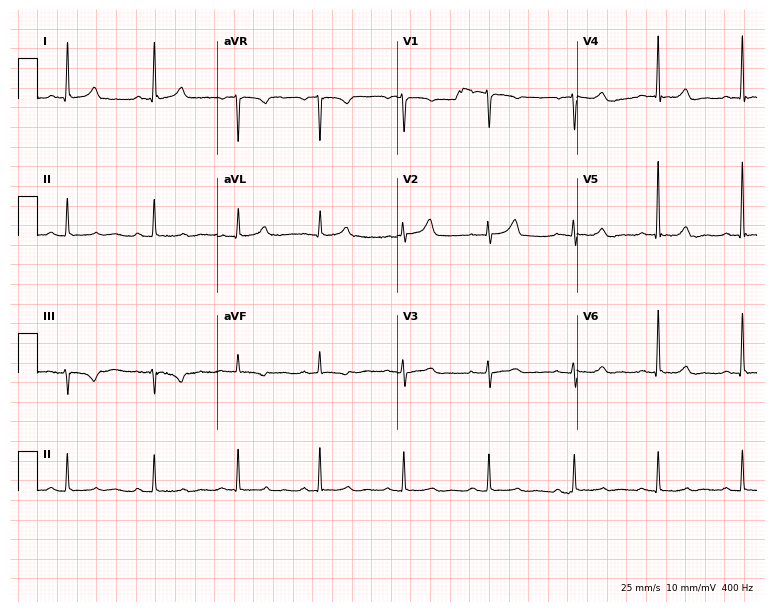
Resting 12-lead electrocardiogram (7.3-second recording at 400 Hz). Patient: a 65-year-old female. None of these six findings is recorded: first-degree AV block, right bundle branch block, left bundle branch block, sinus bradycardia, atrial fibrillation, sinus tachycardia.